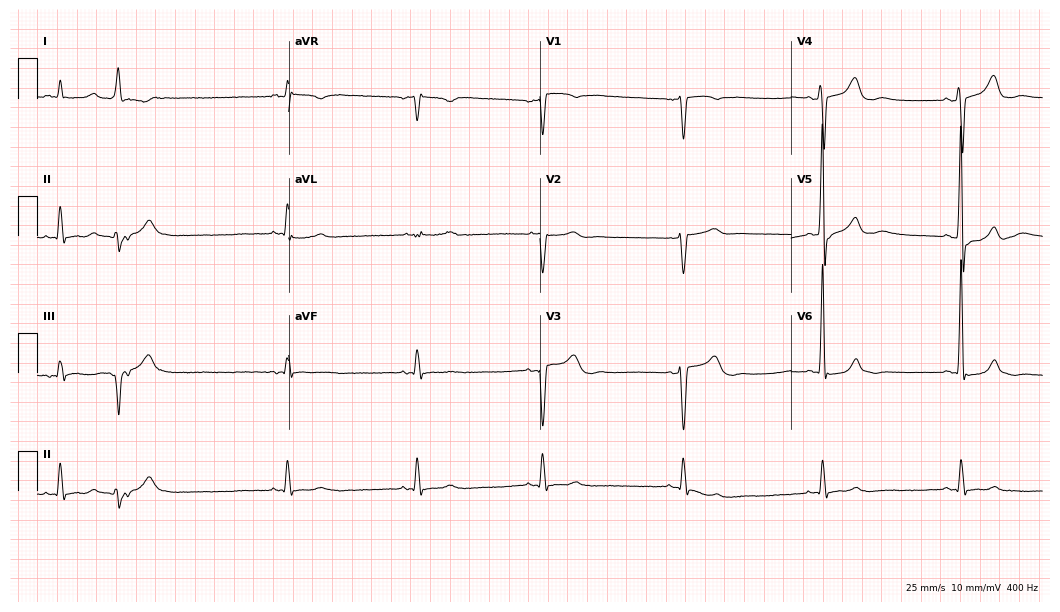
Standard 12-lead ECG recorded from a male, 81 years old (10.2-second recording at 400 Hz). None of these six findings is recorded: first-degree AV block, right bundle branch block, left bundle branch block, sinus bradycardia, atrial fibrillation, sinus tachycardia. Only these six findings were labelled.